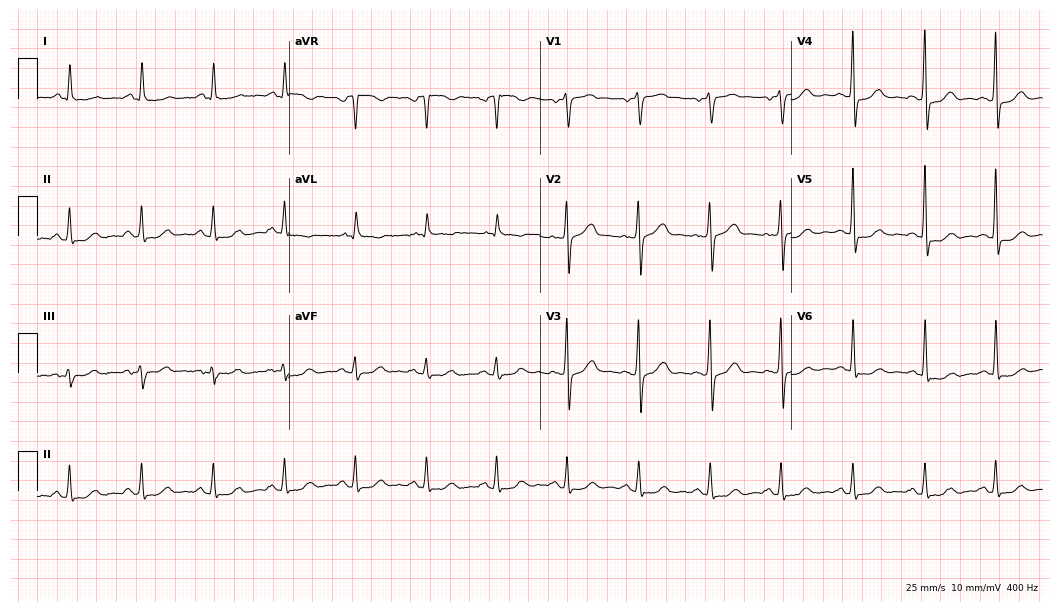
Resting 12-lead electrocardiogram (10.2-second recording at 400 Hz). Patient: a man, 64 years old. None of these six findings is recorded: first-degree AV block, right bundle branch block (RBBB), left bundle branch block (LBBB), sinus bradycardia, atrial fibrillation (AF), sinus tachycardia.